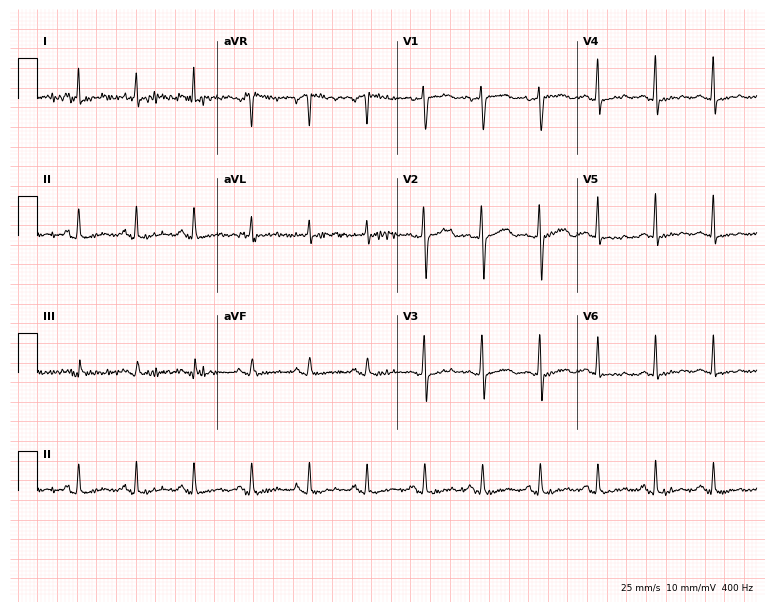
12-lead ECG from a man, 61 years old. Shows sinus tachycardia (a sinus rate of 100 beats per minute or more).